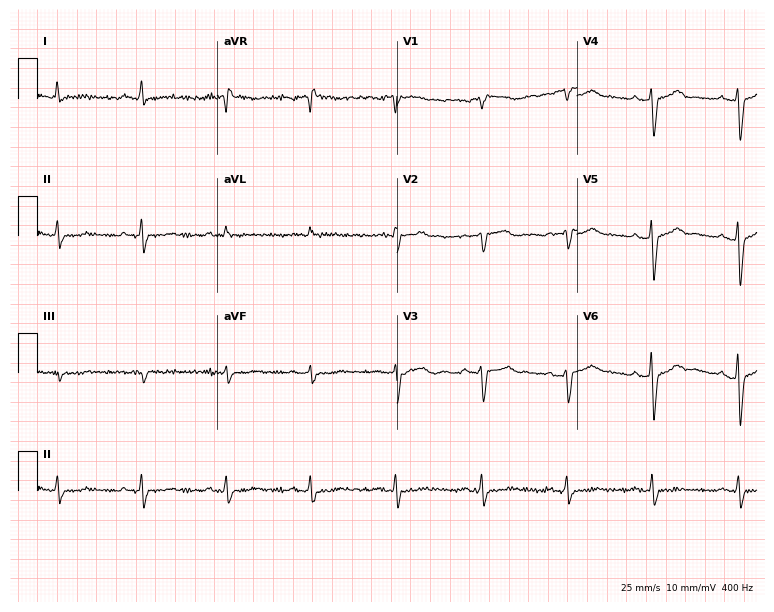
Resting 12-lead electrocardiogram. Patient: a 79-year-old man. None of these six findings is recorded: first-degree AV block, right bundle branch block, left bundle branch block, sinus bradycardia, atrial fibrillation, sinus tachycardia.